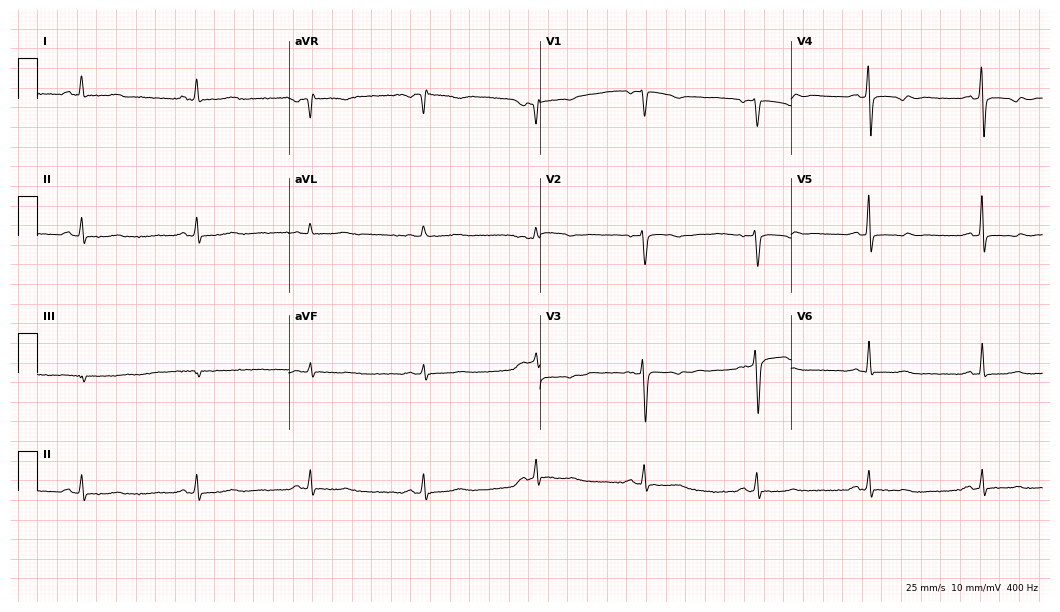
Electrocardiogram (10.2-second recording at 400 Hz), a female patient, 64 years old. Of the six screened findings (first-degree AV block, right bundle branch block (RBBB), left bundle branch block (LBBB), sinus bradycardia, atrial fibrillation (AF), sinus tachycardia), none is recorded.